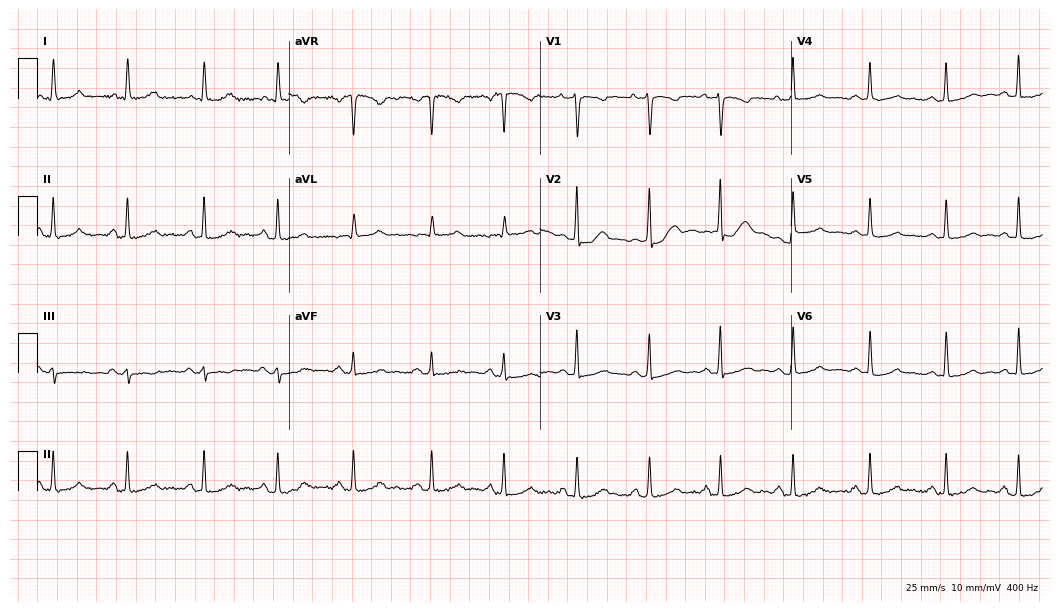
12-lead ECG (10.2-second recording at 400 Hz) from a 29-year-old woman. Labelled as a normal ECG.